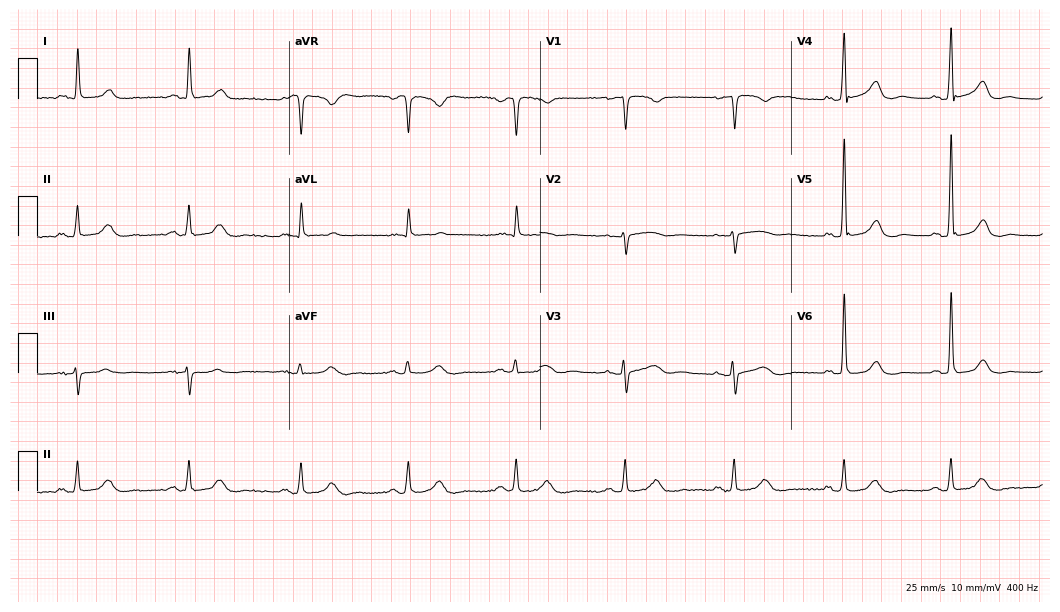
12-lead ECG from a female, 75 years old (10.2-second recording at 400 Hz). No first-degree AV block, right bundle branch block (RBBB), left bundle branch block (LBBB), sinus bradycardia, atrial fibrillation (AF) or sinus tachycardia recorded for this tracing.